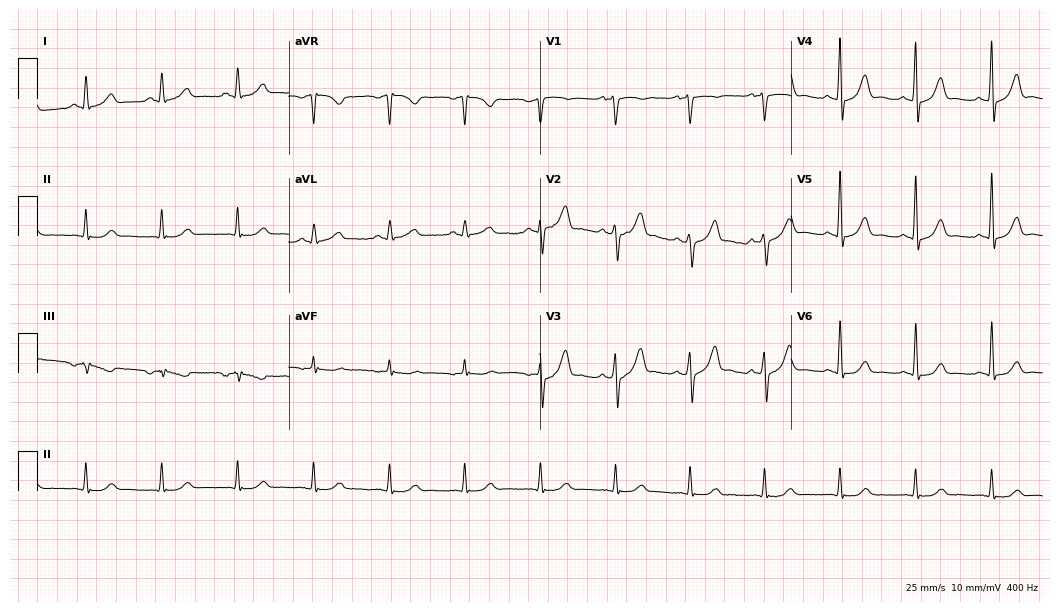
12-lead ECG (10.2-second recording at 400 Hz) from a 66-year-old male patient. Screened for six findings — first-degree AV block, right bundle branch block, left bundle branch block, sinus bradycardia, atrial fibrillation, sinus tachycardia — none is recorded.